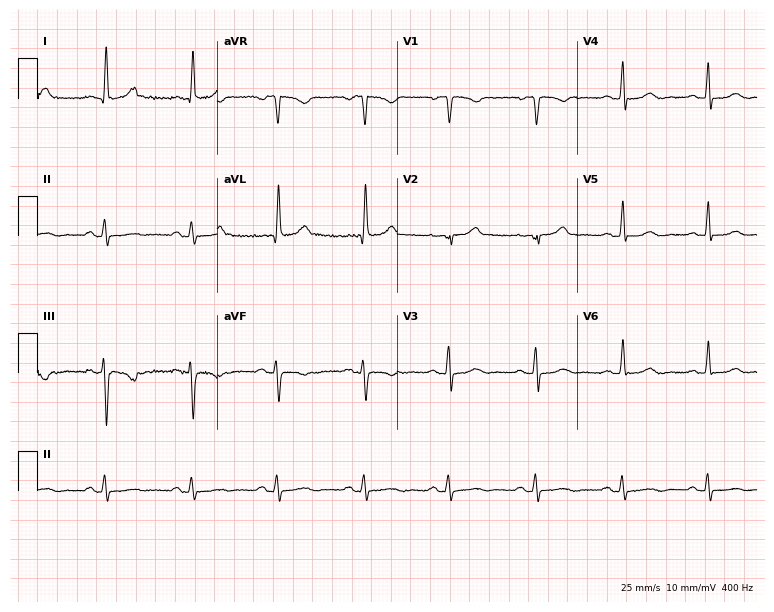
Electrocardiogram, an 82-year-old female. Of the six screened findings (first-degree AV block, right bundle branch block, left bundle branch block, sinus bradycardia, atrial fibrillation, sinus tachycardia), none is recorded. Findings outside these six are not listed.